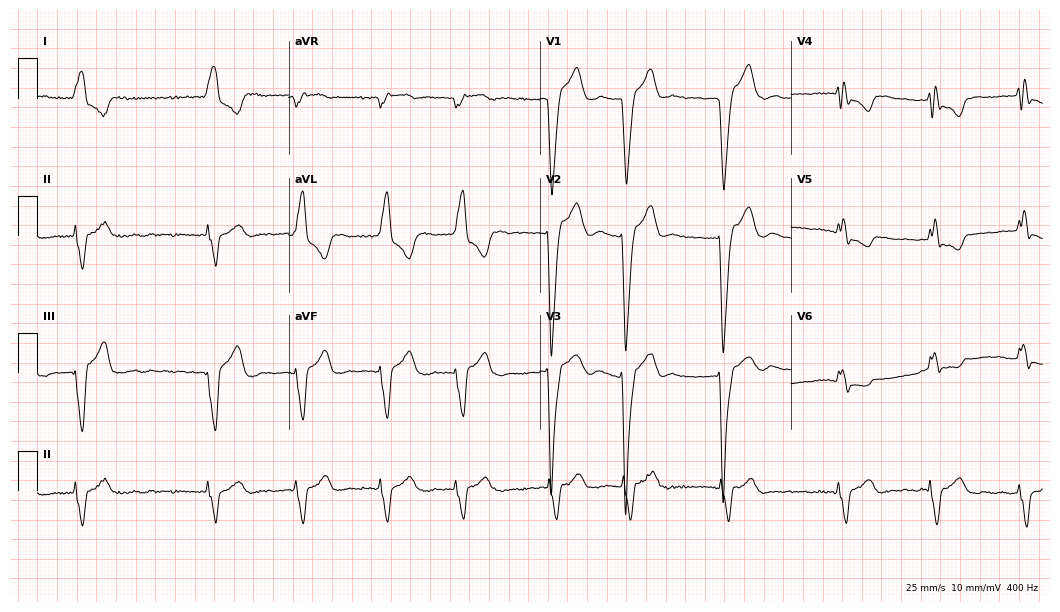
12-lead ECG (10.2-second recording at 400 Hz) from a 74-year-old female patient. Findings include left bundle branch block, atrial fibrillation.